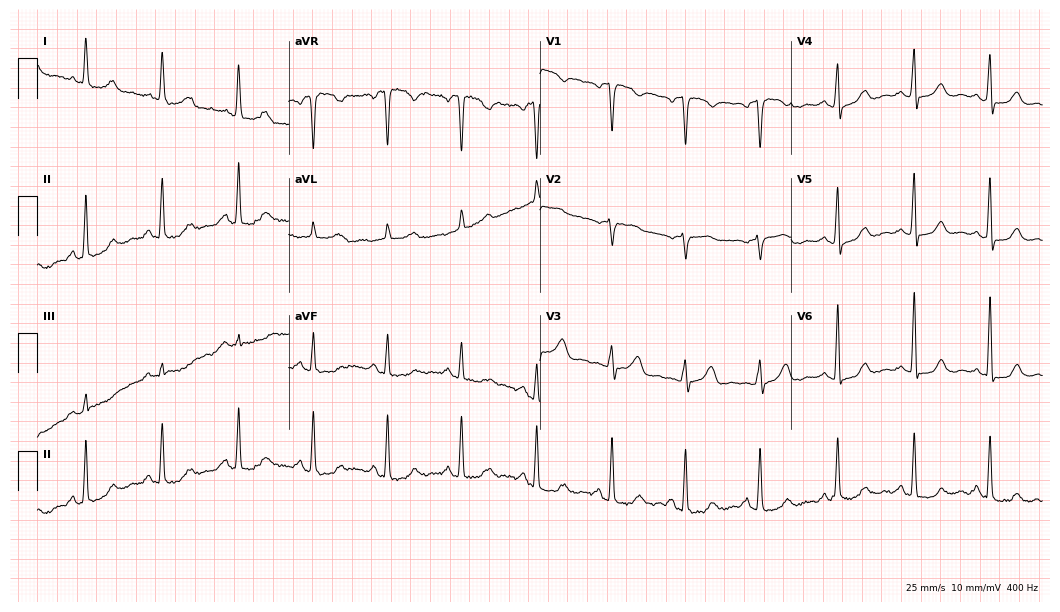
12-lead ECG from a 69-year-old female. Recorded interpretation: within normal limits.